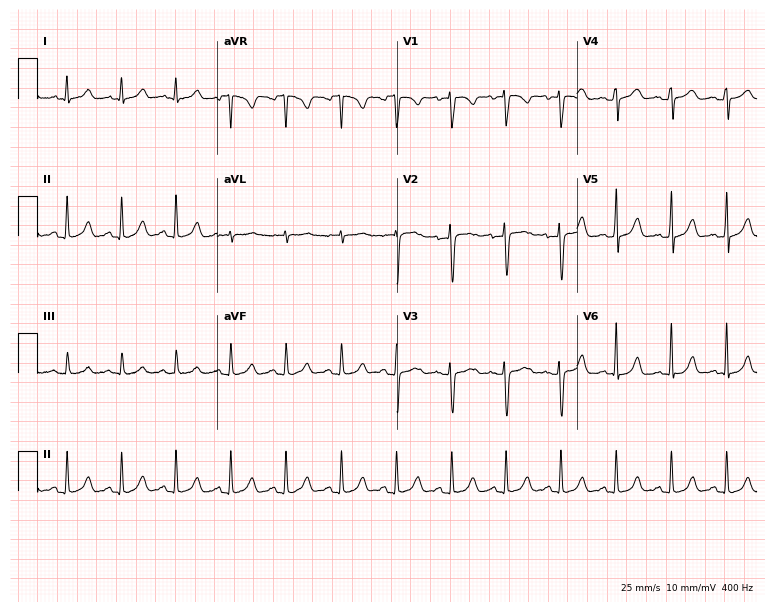
Electrocardiogram, a 23-year-old female. Interpretation includes sinus tachycardia (a sinus rate of 100 beats per minute or more).